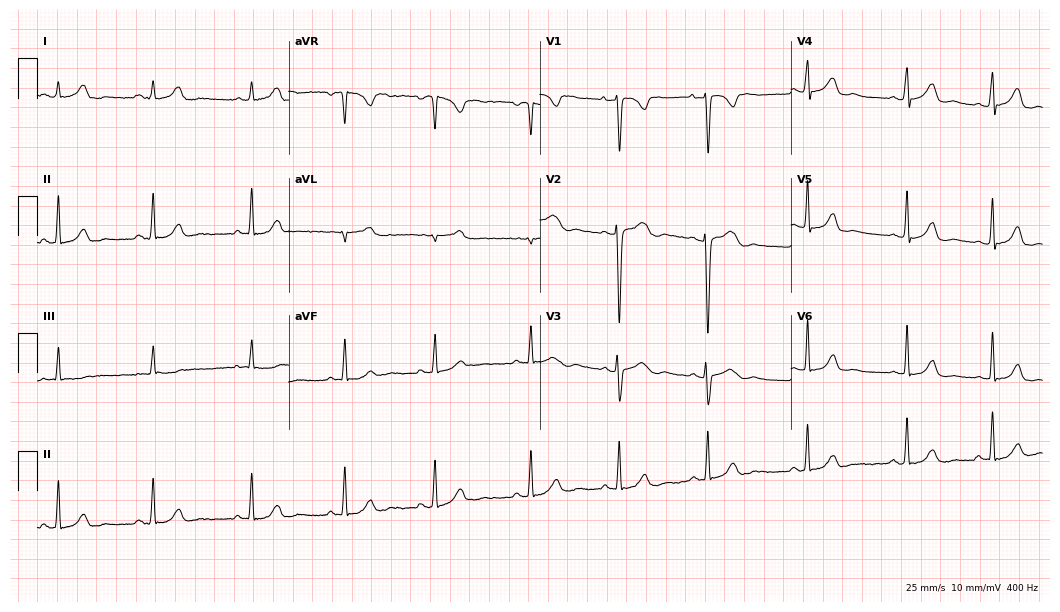
Standard 12-lead ECG recorded from a woman, 23 years old (10.2-second recording at 400 Hz). Read as a normal ECG.